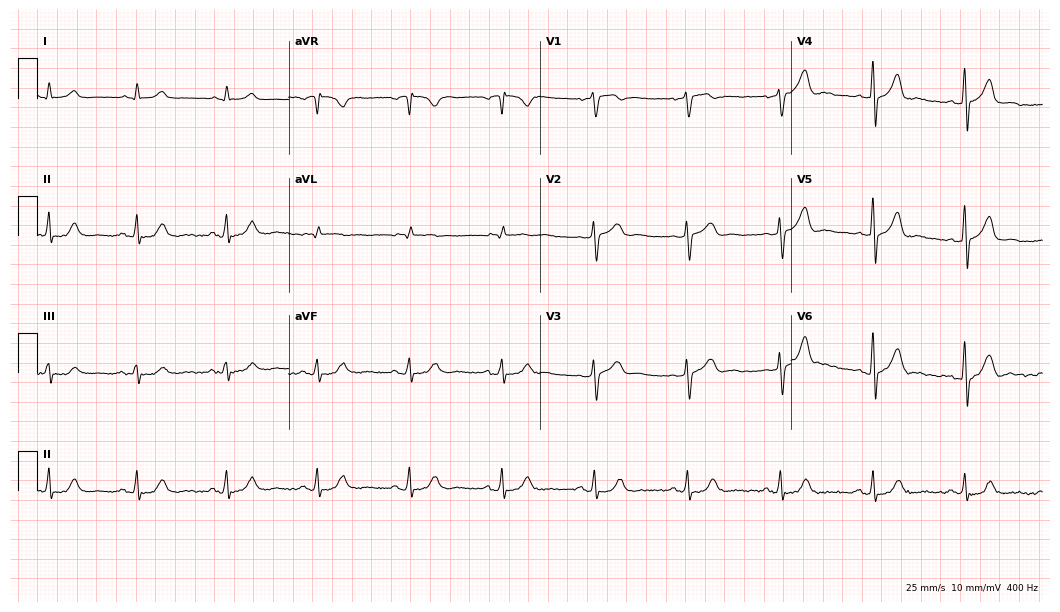
Standard 12-lead ECG recorded from a male patient, 59 years old (10.2-second recording at 400 Hz). None of these six findings is recorded: first-degree AV block, right bundle branch block, left bundle branch block, sinus bradycardia, atrial fibrillation, sinus tachycardia.